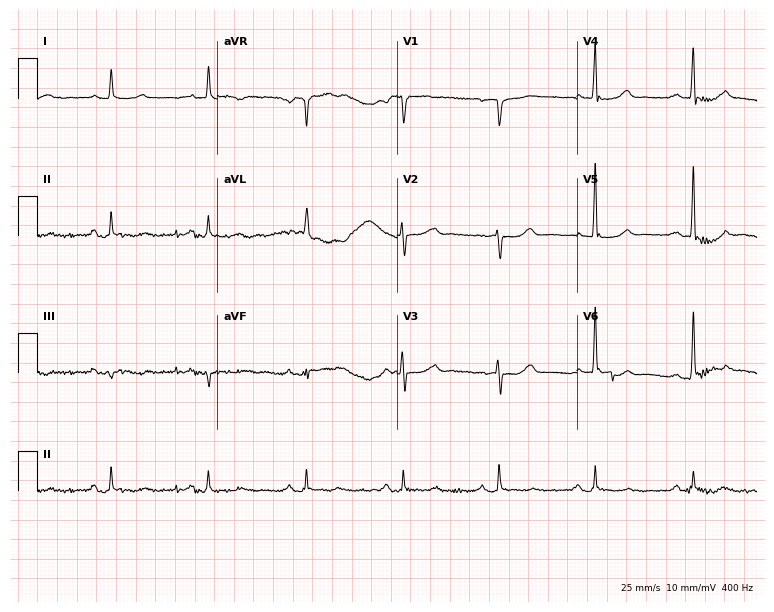
Electrocardiogram (7.3-second recording at 400 Hz), a male patient, 81 years old. Of the six screened findings (first-degree AV block, right bundle branch block (RBBB), left bundle branch block (LBBB), sinus bradycardia, atrial fibrillation (AF), sinus tachycardia), none is recorded.